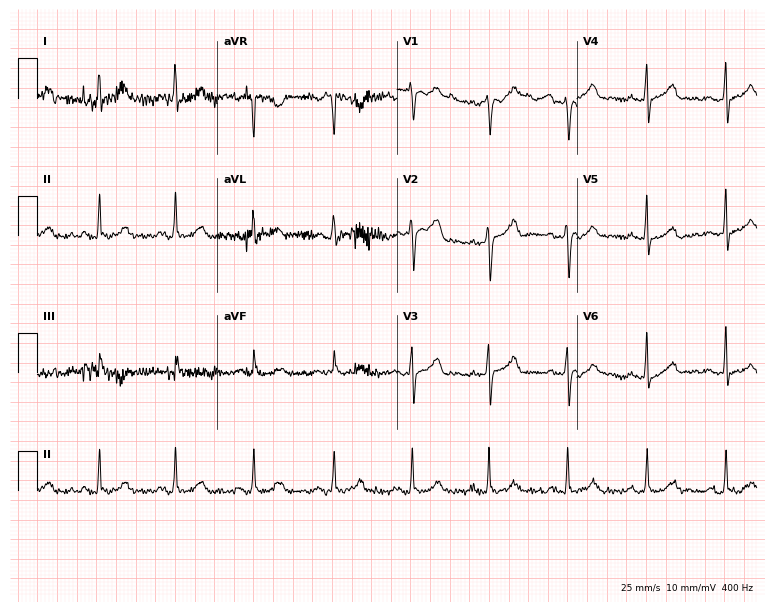
12-lead ECG (7.3-second recording at 400 Hz) from a woman, 43 years old. Labelled as a normal ECG.